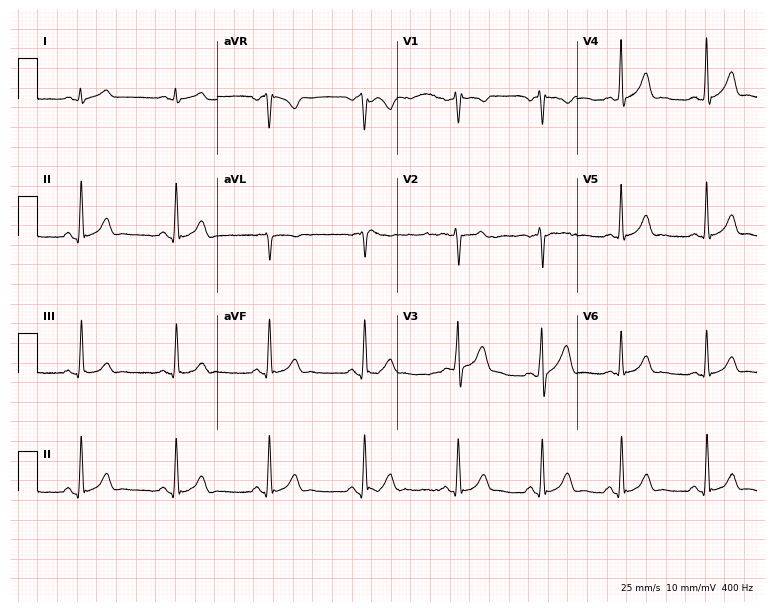
12-lead ECG from a male, 32 years old (7.3-second recording at 400 Hz). Recorded interpretation: within normal limits.